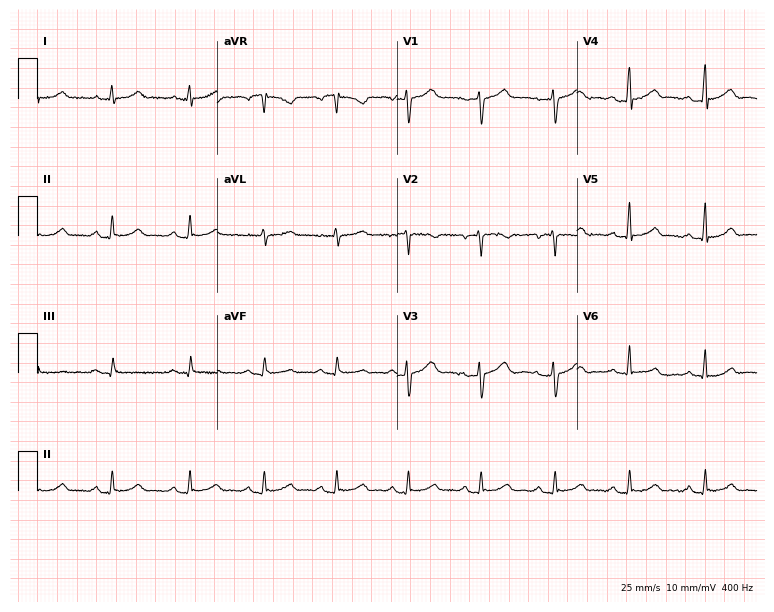
12-lead ECG from a 41-year-old female patient (7.3-second recording at 400 Hz). No first-degree AV block, right bundle branch block (RBBB), left bundle branch block (LBBB), sinus bradycardia, atrial fibrillation (AF) or sinus tachycardia recorded for this tracing.